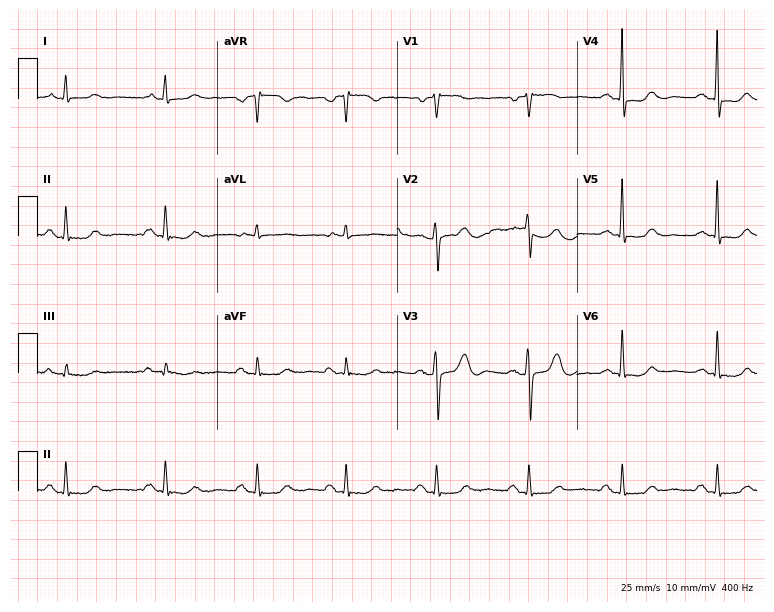
ECG — a 69-year-old female. Screened for six findings — first-degree AV block, right bundle branch block, left bundle branch block, sinus bradycardia, atrial fibrillation, sinus tachycardia — none is recorded.